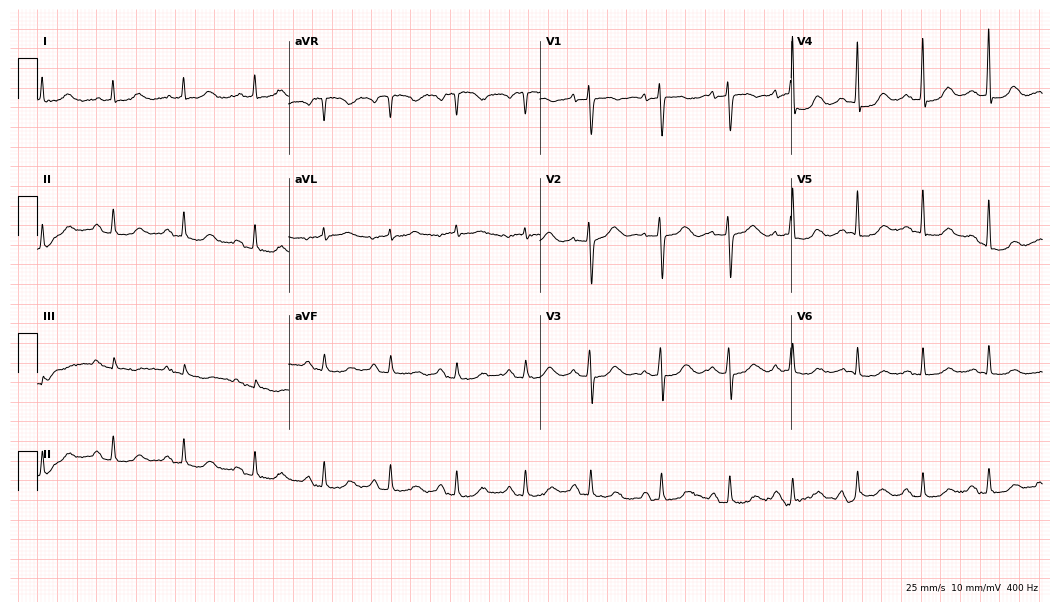
12-lead ECG from a 78-year-old female patient. Labelled as a normal ECG.